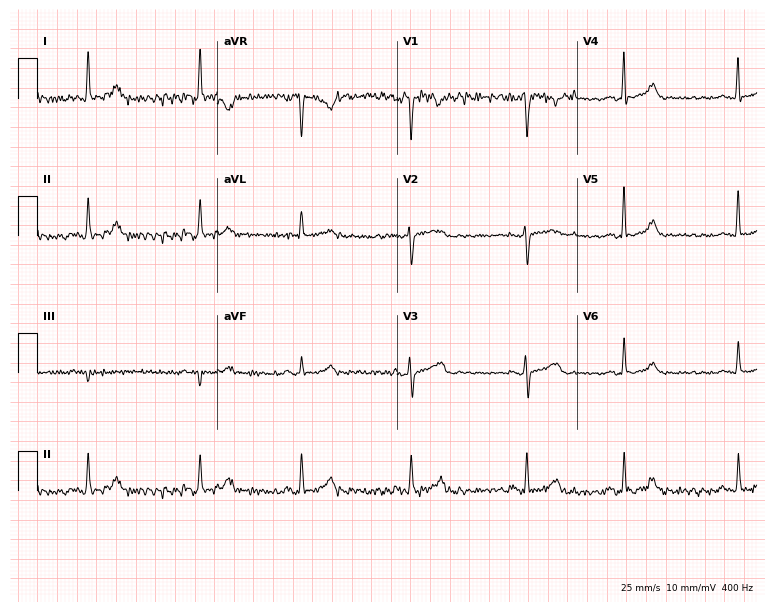
Resting 12-lead electrocardiogram. Patient: a 47-year-old woman. Read as a normal ECG.